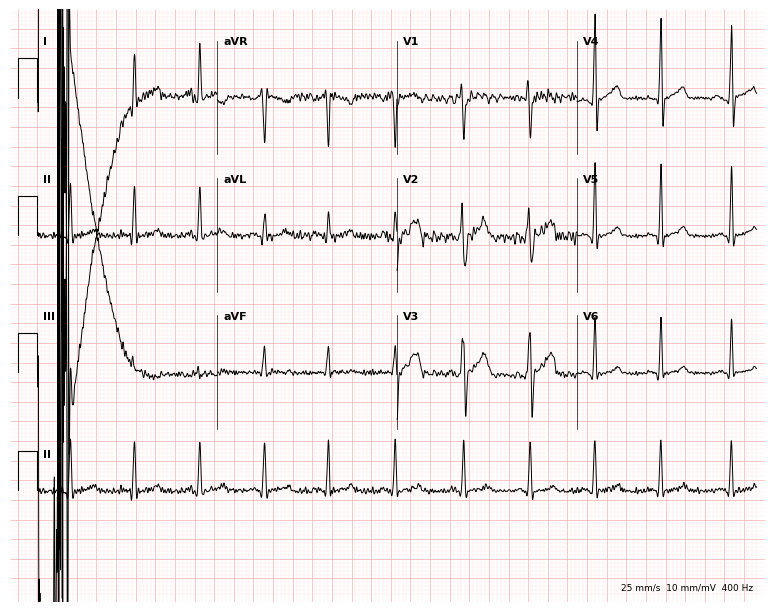
ECG (7.3-second recording at 400 Hz) — an 18-year-old man. Screened for six findings — first-degree AV block, right bundle branch block (RBBB), left bundle branch block (LBBB), sinus bradycardia, atrial fibrillation (AF), sinus tachycardia — none is recorded. Other findings, if any, are not listed.